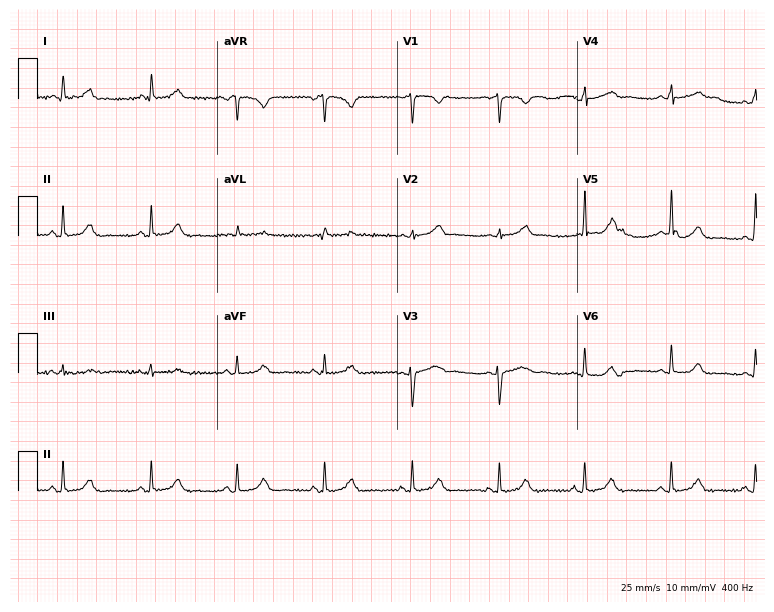
Standard 12-lead ECG recorded from a 40-year-old female. Read as a normal ECG.